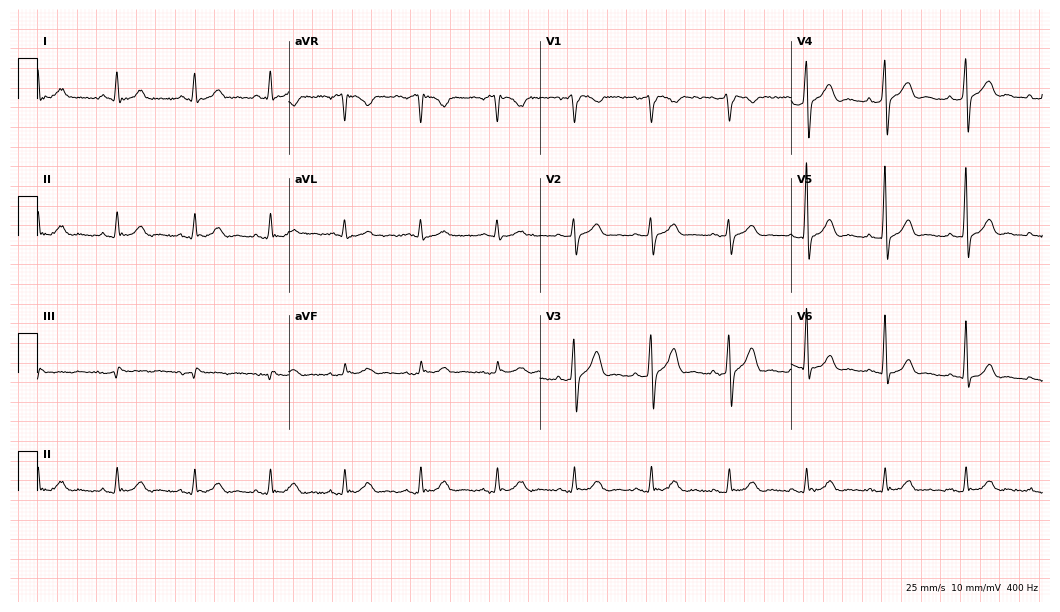
Standard 12-lead ECG recorded from a 49-year-old man (10.2-second recording at 400 Hz). Read as a normal ECG.